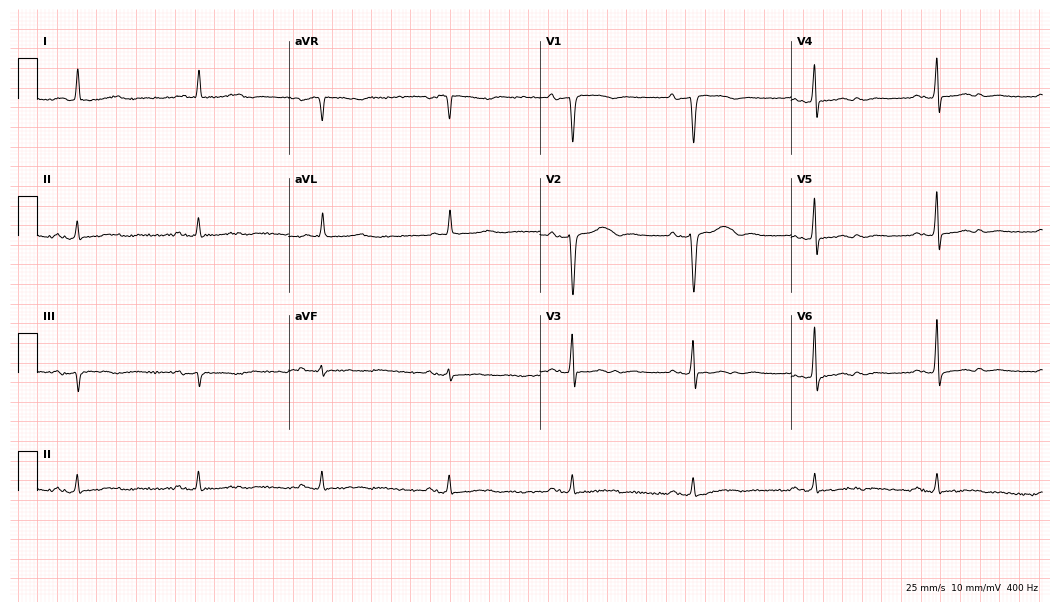
Standard 12-lead ECG recorded from a man, 78 years old (10.2-second recording at 400 Hz). The tracing shows sinus bradycardia (a sinus rate of 50 beats per minute or less).